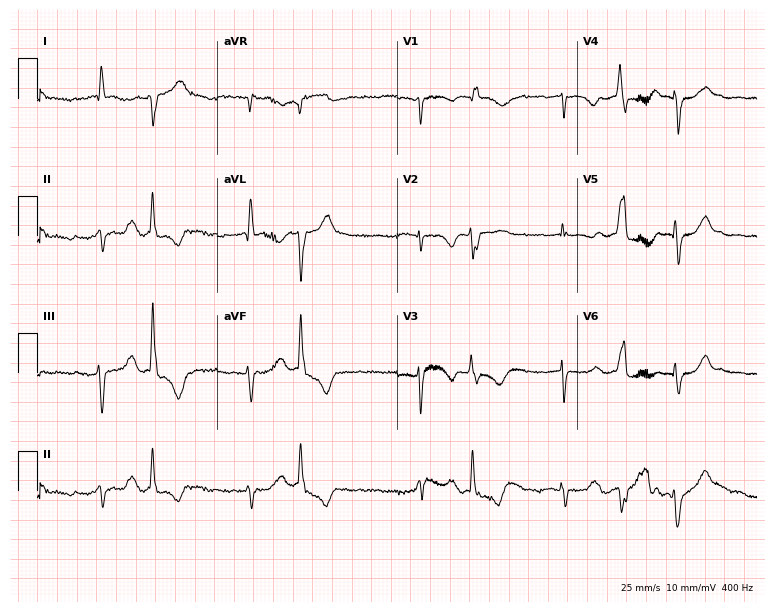
Electrocardiogram (7.3-second recording at 400 Hz), a female, 79 years old. Of the six screened findings (first-degree AV block, right bundle branch block (RBBB), left bundle branch block (LBBB), sinus bradycardia, atrial fibrillation (AF), sinus tachycardia), none is recorded.